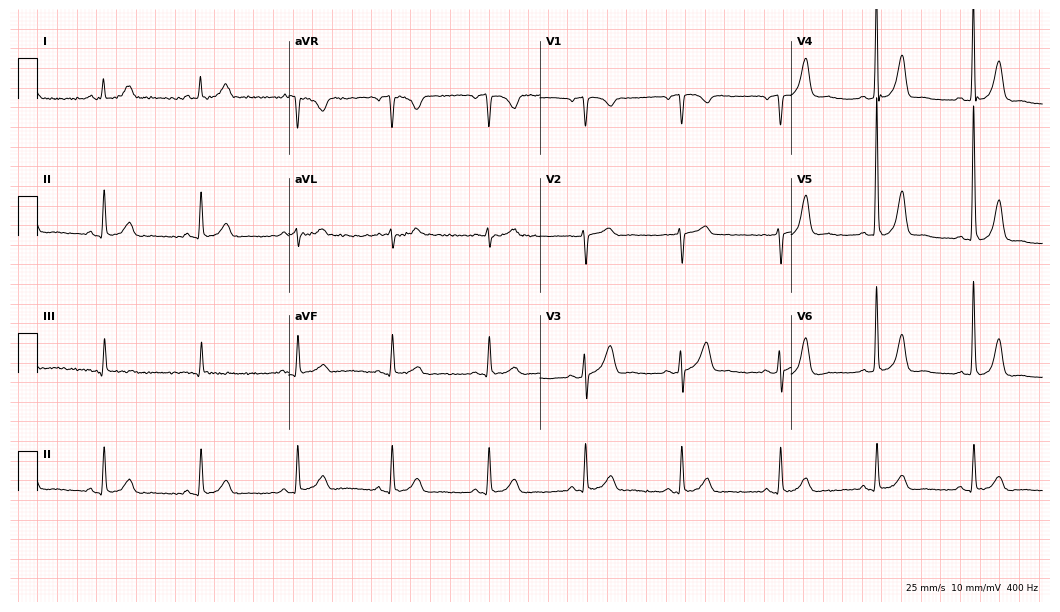
Resting 12-lead electrocardiogram. Patient: a 73-year-old male. None of these six findings is recorded: first-degree AV block, right bundle branch block, left bundle branch block, sinus bradycardia, atrial fibrillation, sinus tachycardia.